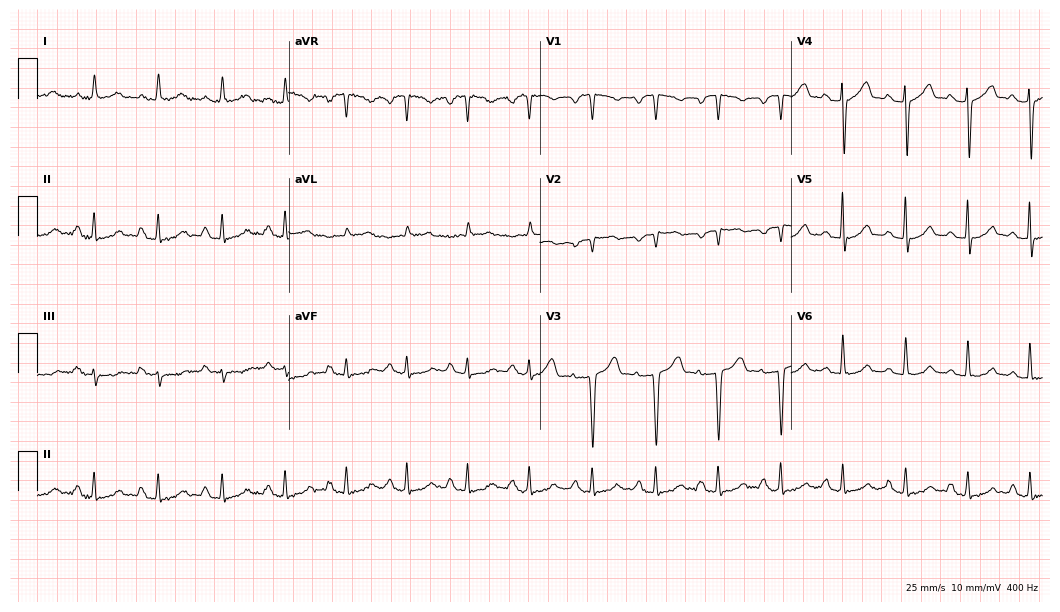
Electrocardiogram (10.2-second recording at 400 Hz), a female, 46 years old. Overall reading on record: normal ECG.